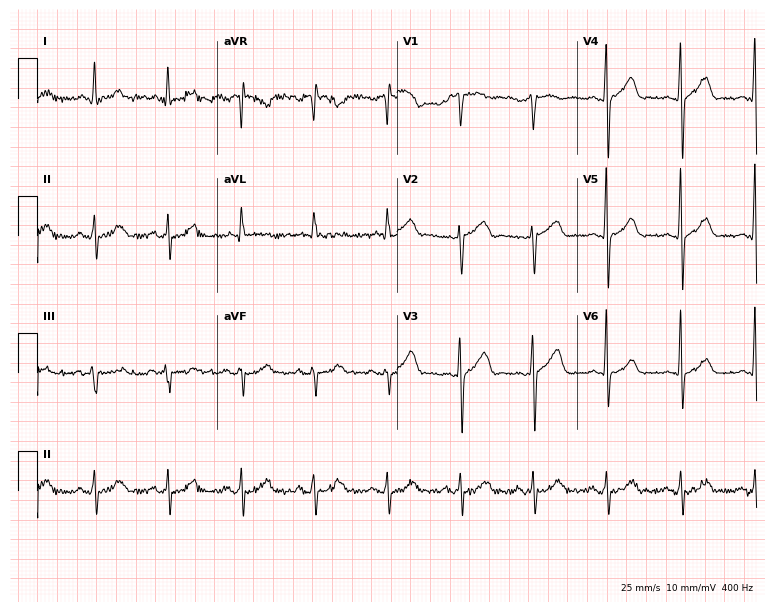
Electrocardiogram, a male patient, 62 years old. Overall reading on record: normal ECG.